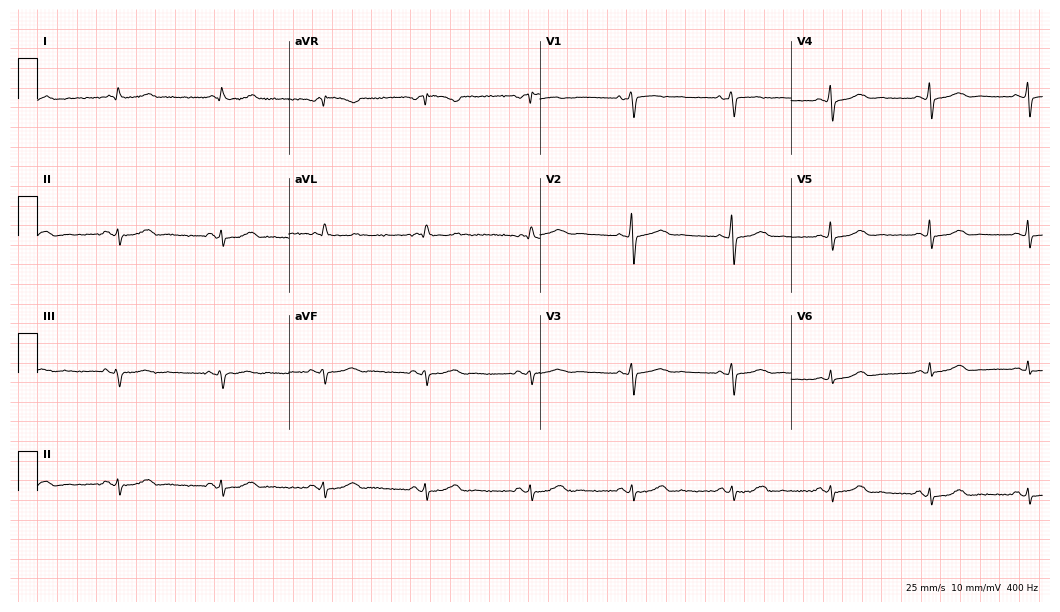
12-lead ECG from a 59-year-old woman. No first-degree AV block, right bundle branch block (RBBB), left bundle branch block (LBBB), sinus bradycardia, atrial fibrillation (AF) or sinus tachycardia recorded for this tracing.